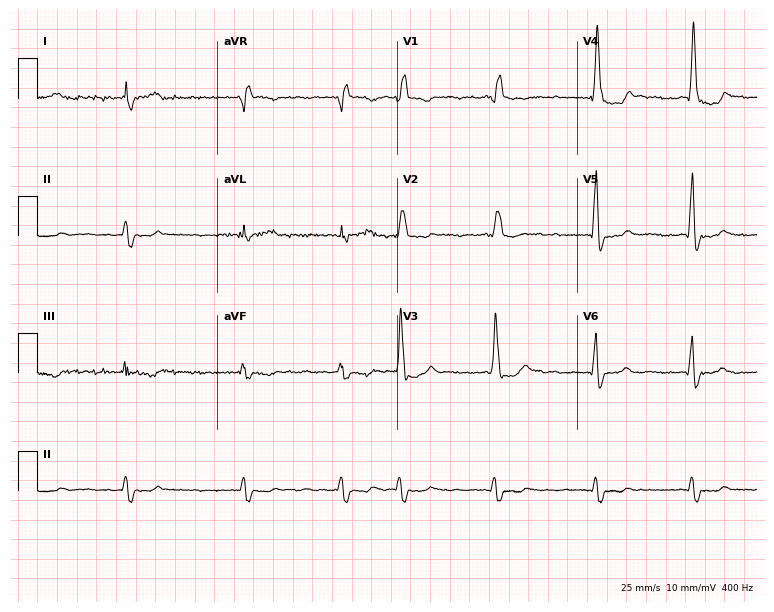
12-lead ECG (7.3-second recording at 400 Hz) from a 65-year-old male patient. Screened for six findings — first-degree AV block, right bundle branch block, left bundle branch block, sinus bradycardia, atrial fibrillation, sinus tachycardia — none is recorded. Other findings, if any, are not listed.